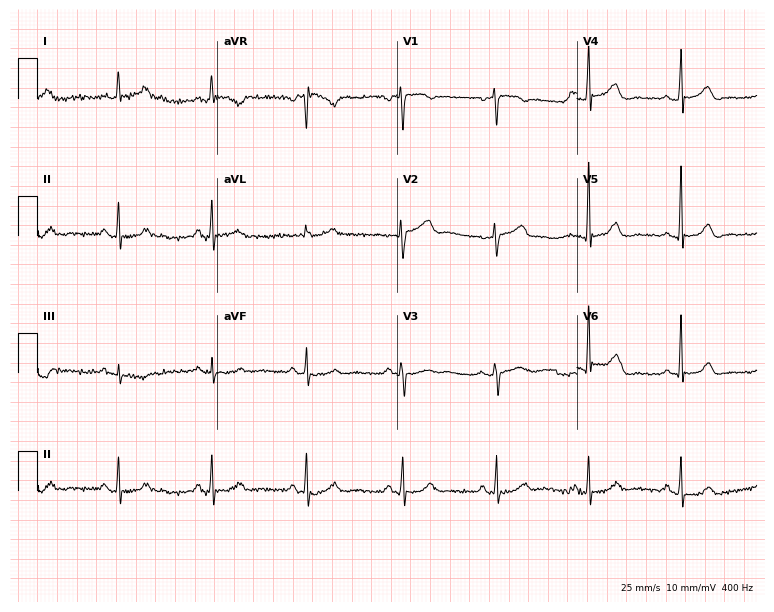
Electrocardiogram, a 60-year-old female patient. Of the six screened findings (first-degree AV block, right bundle branch block, left bundle branch block, sinus bradycardia, atrial fibrillation, sinus tachycardia), none is recorded. Only these six findings were labelled.